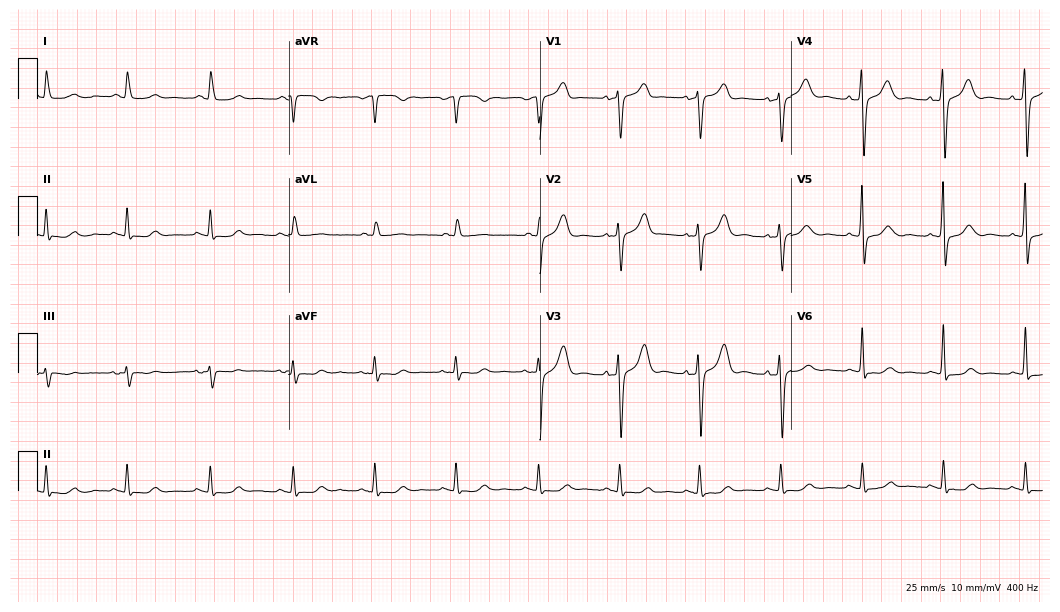
12-lead ECG from a 72-year-old female patient (10.2-second recording at 400 Hz). Recorded interpretation: within normal limits.